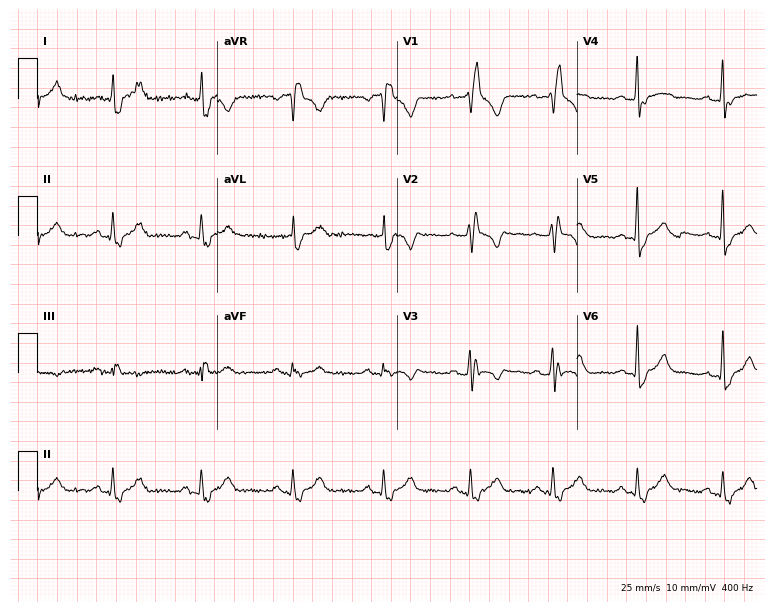
12-lead ECG from a 33-year-old female (7.3-second recording at 400 Hz). Shows right bundle branch block.